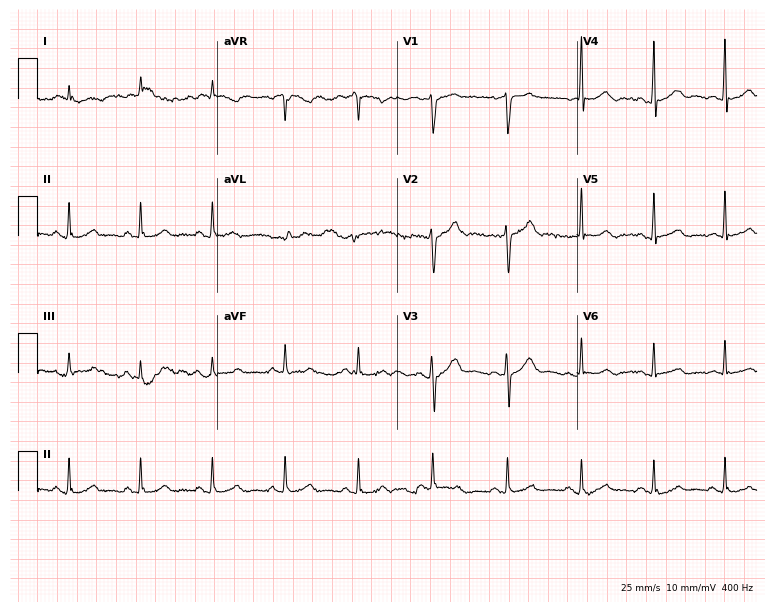
12-lead ECG from a 51-year-old male. Recorded interpretation: within normal limits.